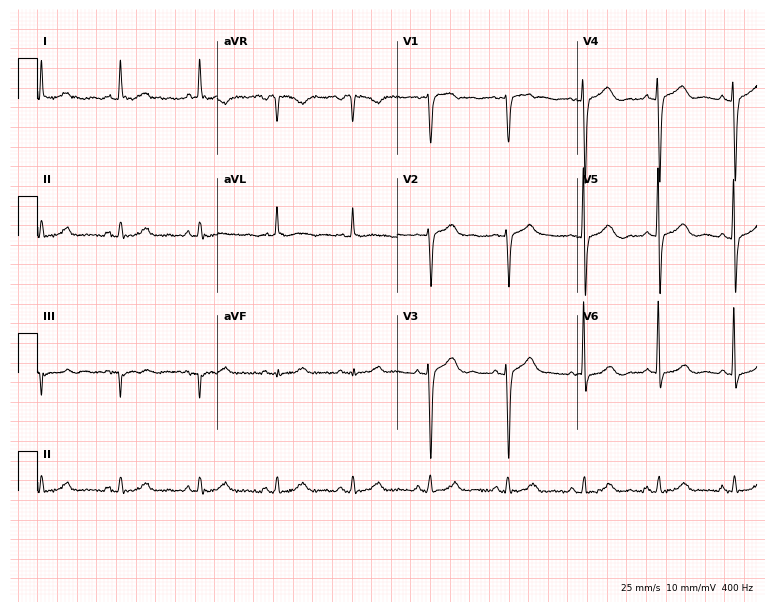
12-lead ECG from a female patient, 71 years old. Screened for six findings — first-degree AV block, right bundle branch block, left bundle branch block, sinus bradycardia, atrial fibrillation, sinus tachycardia — none is recorded. Only these six findings were labelled.